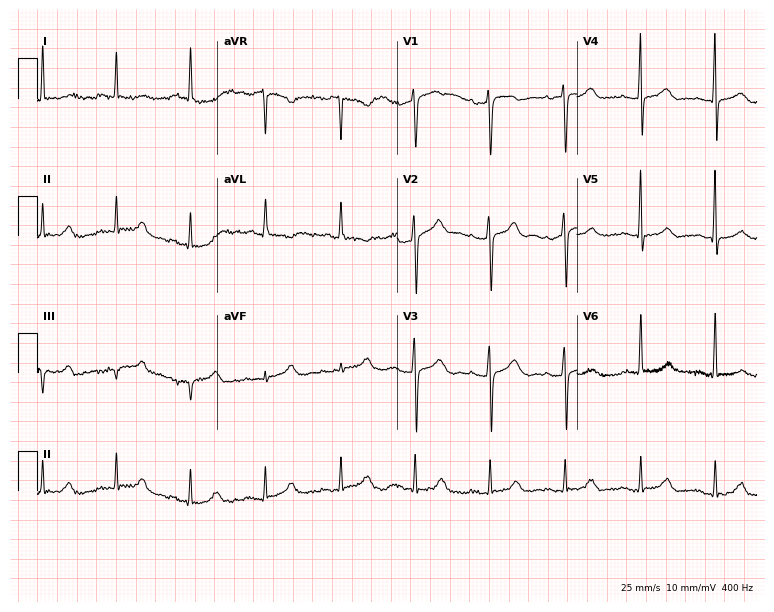
Standard 12-lead ECG recorded from a woman, 61 years old. None of these six findings is recorded: first-degree AV block, right bundle branch block (RBBB), left bundle branch block (LBBB), sinus bradycardia, atrial fibrillation (AF), sinus tachycardia. Findings outside these six are not listed.